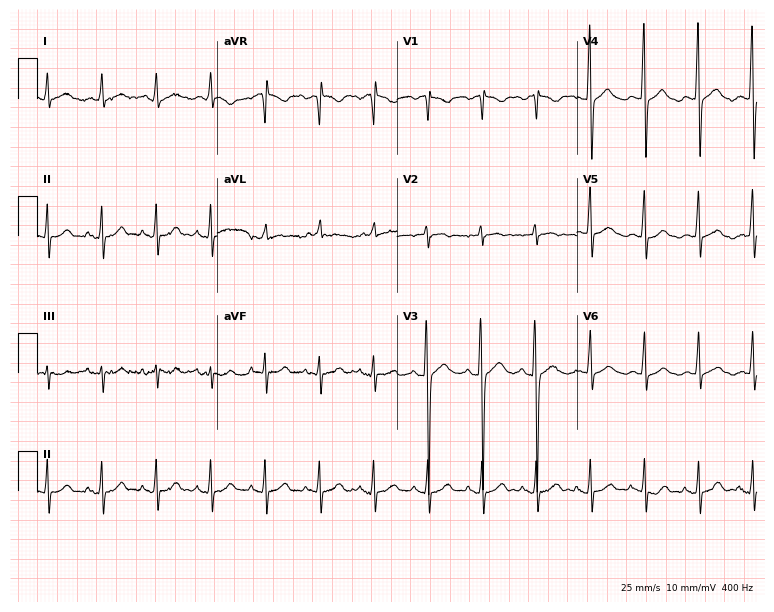
Resting 12-lead electrocardiogram. Patient: a female, 85 years old. The tracing shows sinus tachycardia (a sinus rate of 100 beats per minute or more).